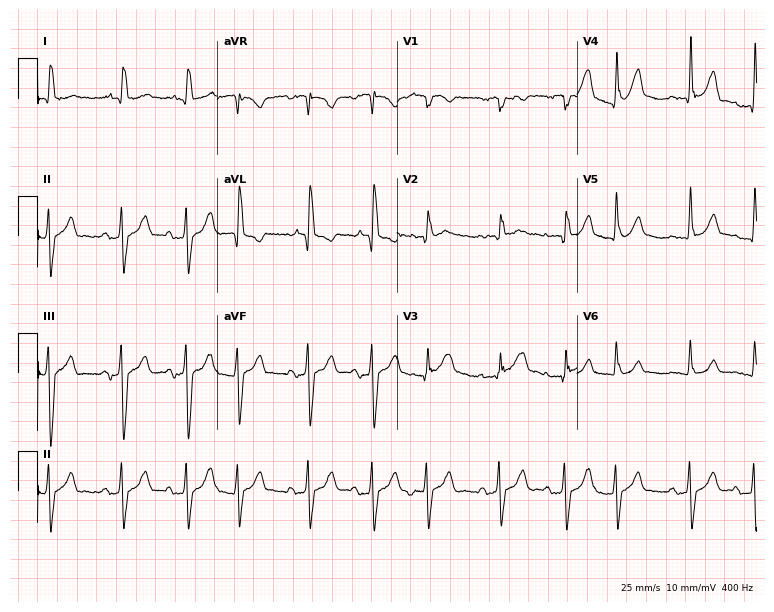
Resting 12-lead electrocardiogram (7.3-second recording at 400 Hz). Patient: an 83-year-old male. None of these six findings is recorded: first-degree AV block, right bundle branch block, left bundle branch block, sinus bradycardia, atrial fibrillation, sinus tachycardia.